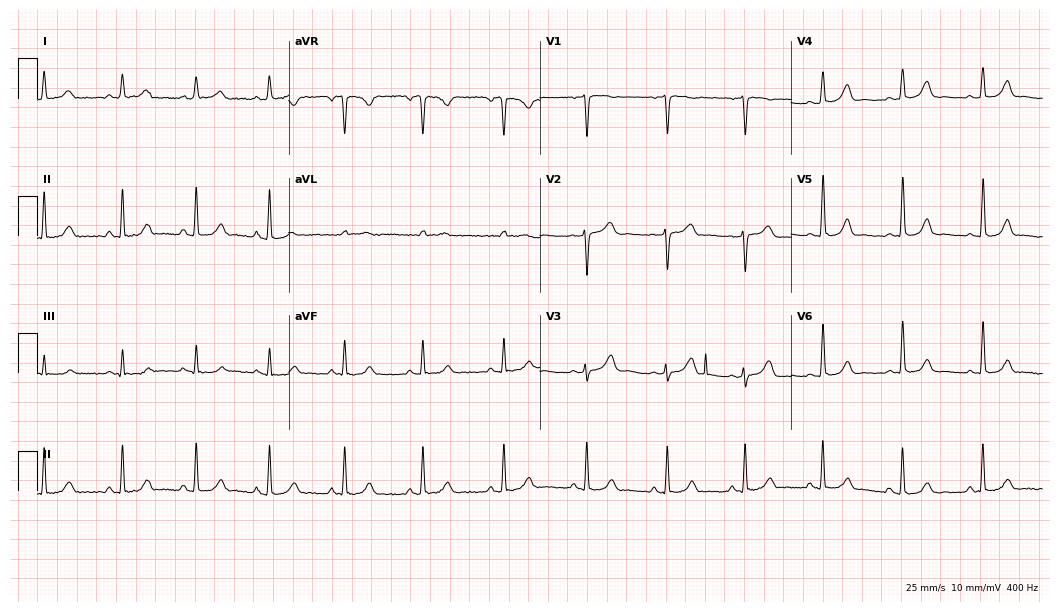
Electrocardiogram, a 40-year-old woman. Overall reading on record: normal ECG.